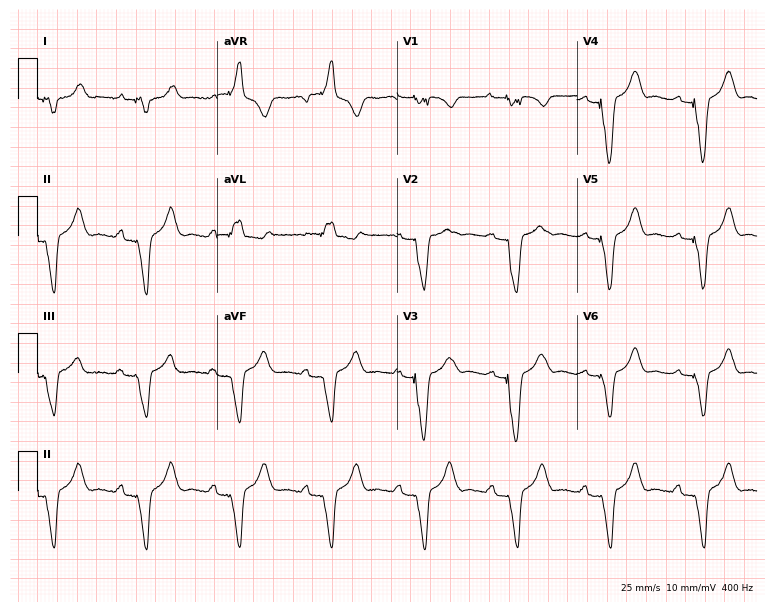
ECG — a woman, 85 years old. Screened for six findings — first-degree AV block, right bundle branch block (RBBB), left bundle branch block (LBBB), sinus bradycardia, atrial fibrillation (AF), sinus tachycardia — none is recorded. Findings outside these six are not listed.